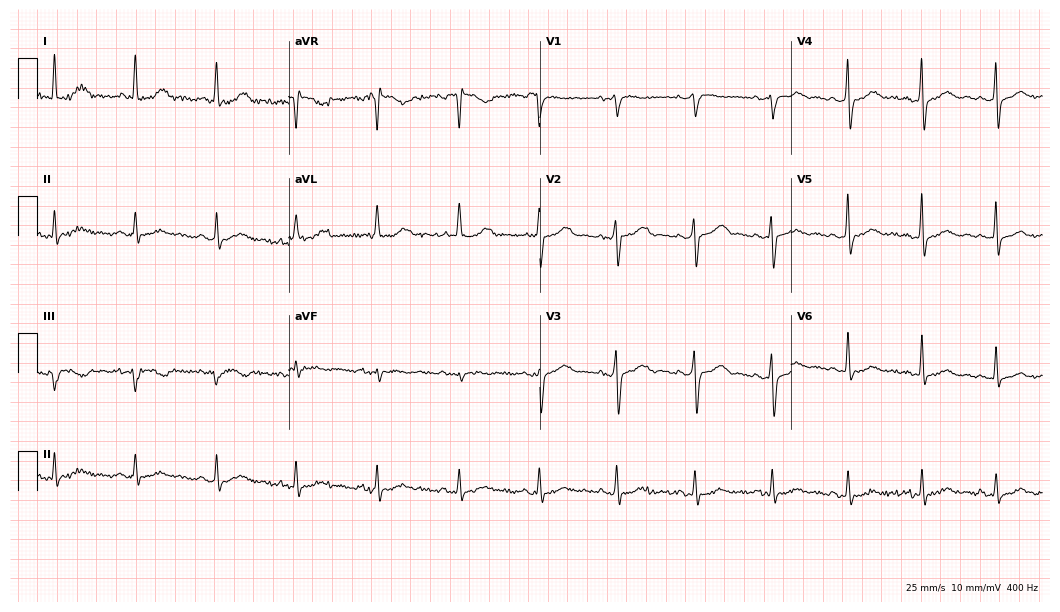
12-lead ECG (10.2-second recording at 400 Hz) from a female, 71 years old. Screened for six findings — first-degree AV block, right bundle branch block, left bundle branch block, sinus bradycardia, atrial fibrillation, sinus tachycardia — none is recorded.